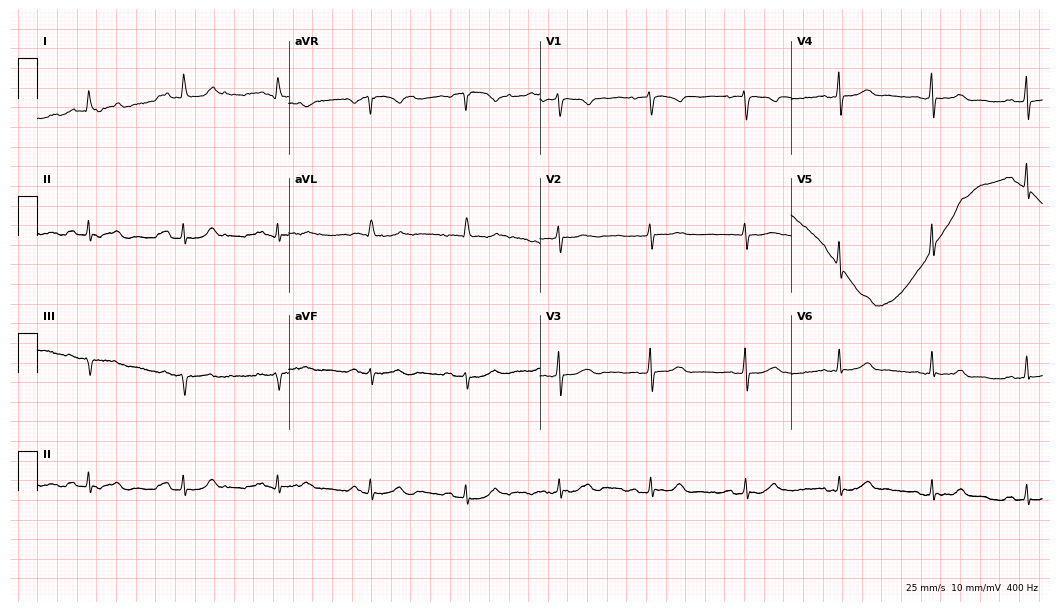
12-lead ECG (10.2-second recording at 400 Hz) from a 75-year-old woman. Labelled as a normal ECG.